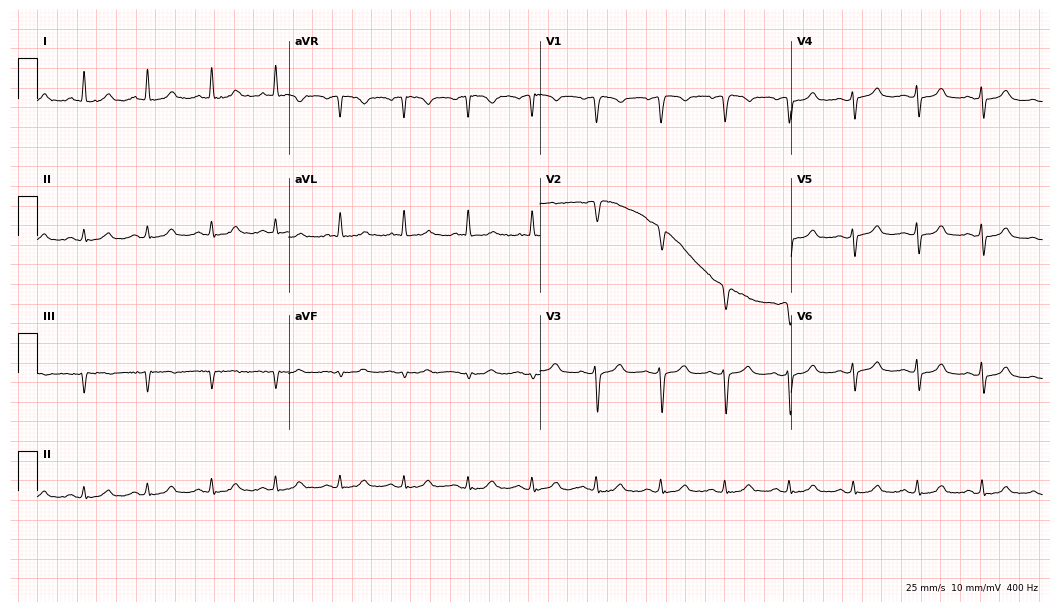
Electrocardiogram (10.2-second recording at 400 Hz), a 55-year-old female patient. Of the six screened findings (first-degree AV block, right bundle branch block, left bundle branch block, sinus bradycardia, atrial fibrillation, sinus tachycardia), none is recorded. Other findings, if any, are not listed.